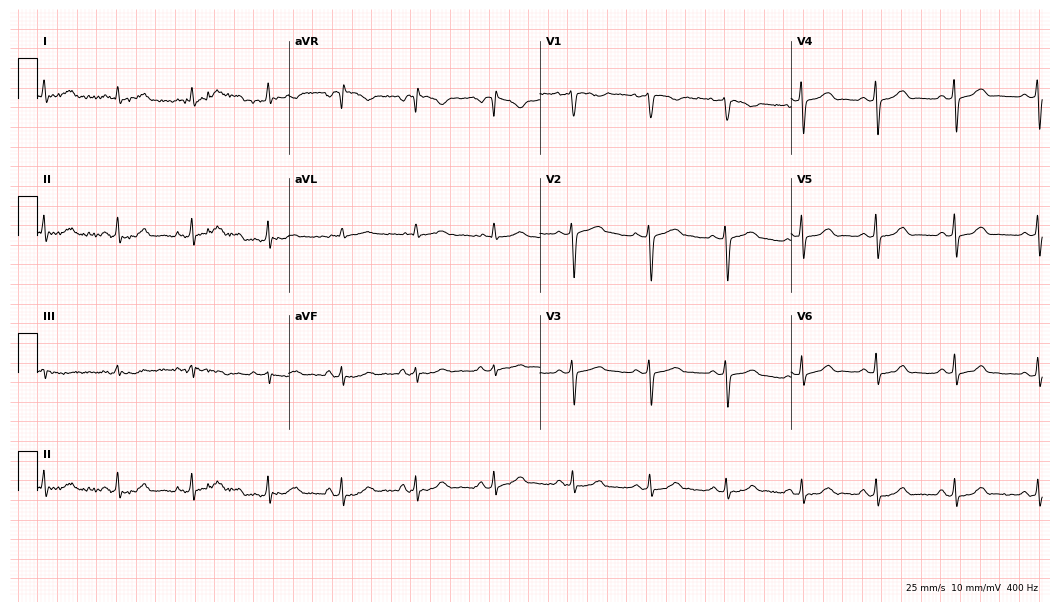
Resting 12-lead electrocardiogram. Patient: a 36-year-old female. Read as a normal ECG.